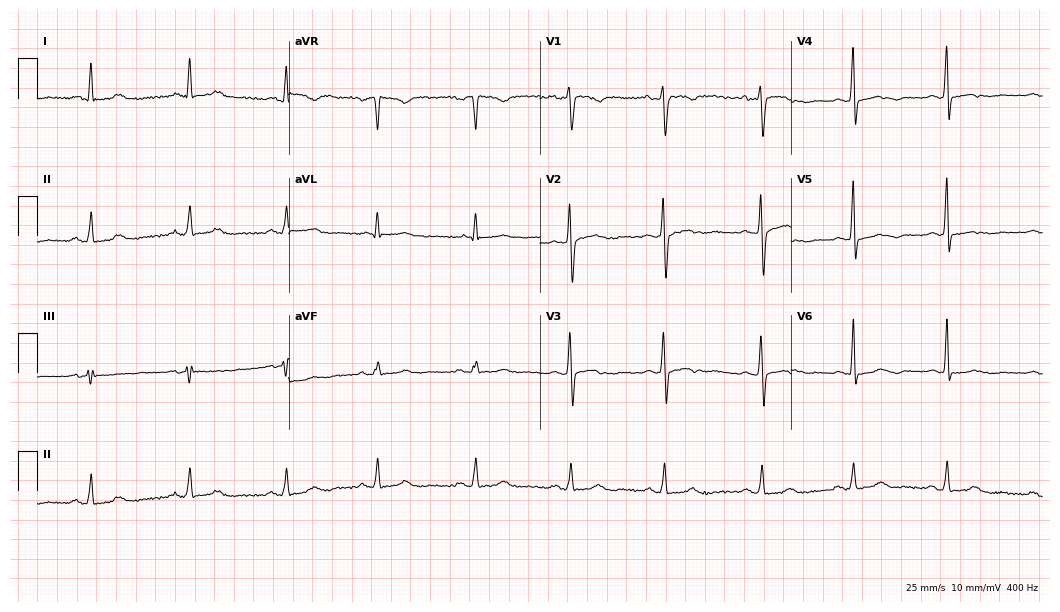
12-lead ECG from a 37-year-old female patient. Screened for six findings — first-degree AV block, right bundle branch block, left bundle branch block, sinus bradycardia, atrial fibrillation, sinus tachycardia — none is recorded. Findings outside these six are not listed.